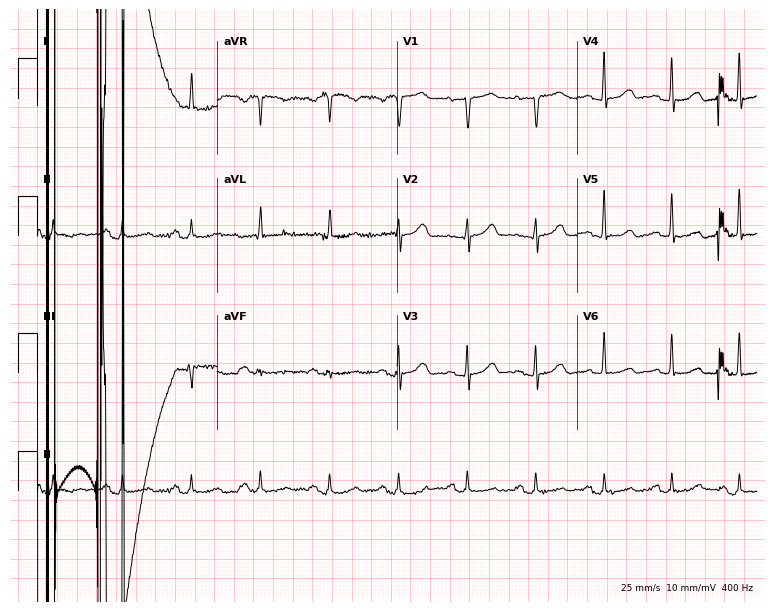
ECG (7.3-second recording at 400 Hz) — a 70-year-old woman. Screened for six findings — first-degree AV block, right bundle branch block (RBBB), left bundle branch block (LBBB), sinus bradycardia, atrial fibrillation (AF), sinus tachycardia — none is recorded. Only these six findings were labelled.